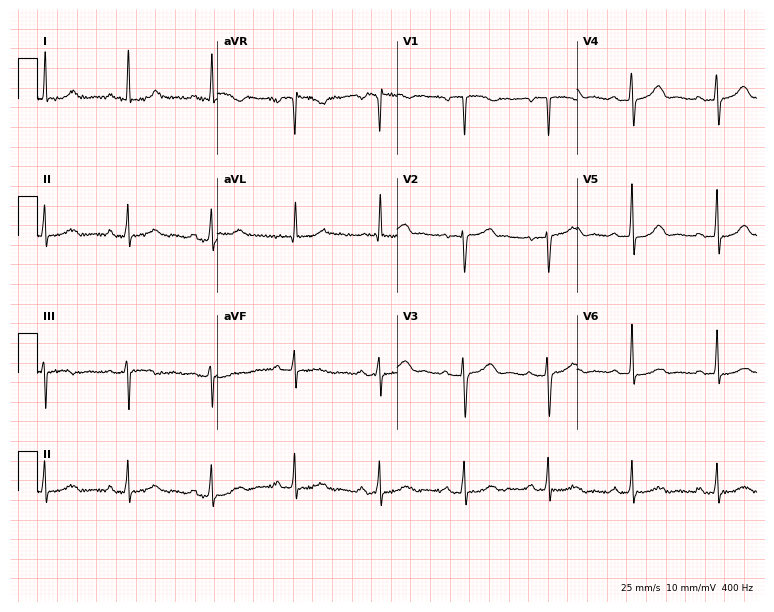
12-lead ECG from a female, 67 years old. Recorded interpretation: within normal limits.